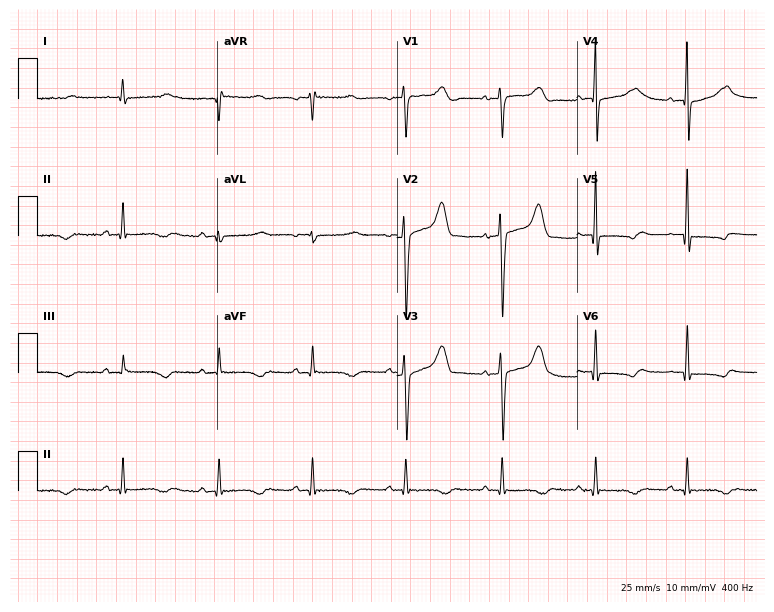
Standard 12-lead ECG recorded from a 61-year-old male patient (7.3-second recording at 400 Hz). None of these six findings is recorded: first-degree AV block, right bundle branch block (RBBB), left bundle branch block (LBBB), sinus bradycardia, atrial fibrillation (AF), sinus tachycardia.